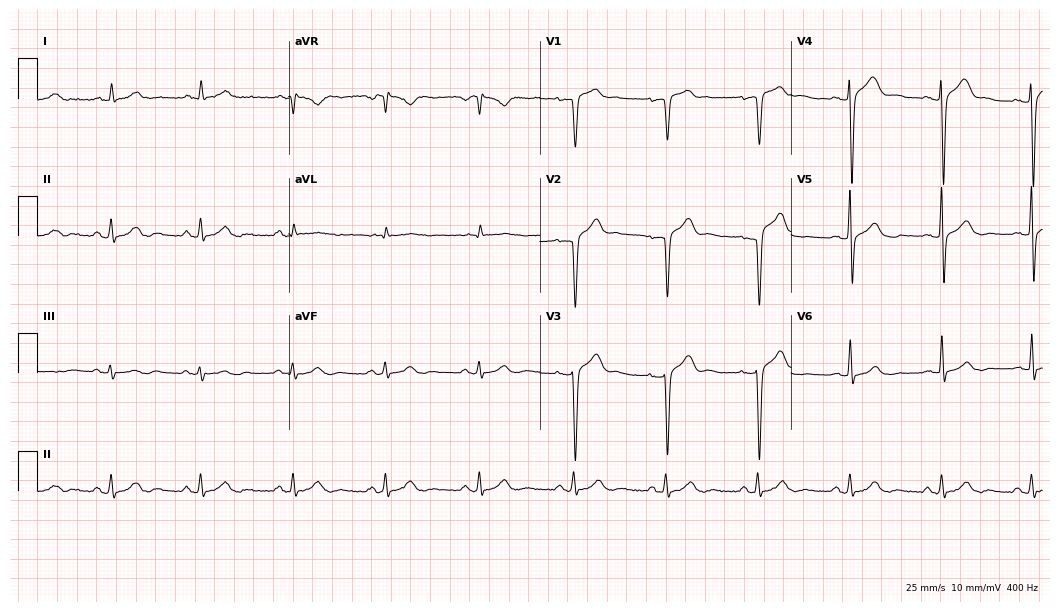
Standard 12-lead ECG recorded from a 65-year-old woman (10.2-second recording at 400 Hz). Read as a normal ECG.